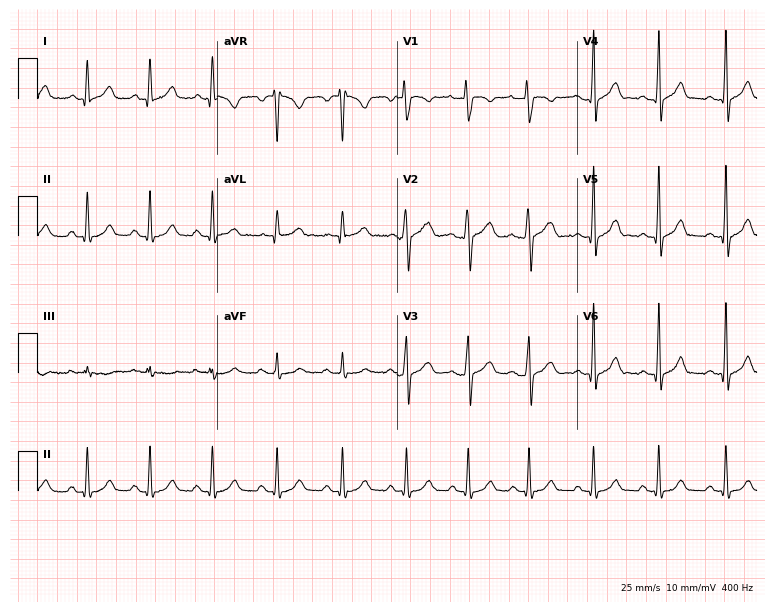
Standard 12-lead ECG recorded from a 32-year-old female (7.3-second recording at 400 Hz). Read as a normal ECG.